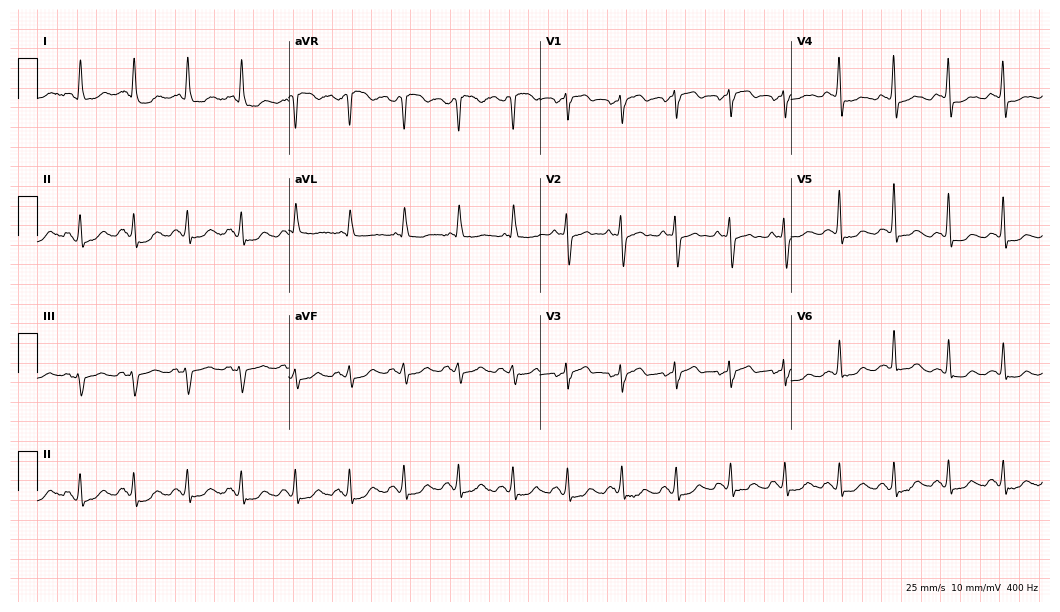
12-lead ECG from a female, 67 years old (10.2-second recording at 400 Hz). Shows sinus tachycardia (a sinus rate of 100 beats per minute or more).